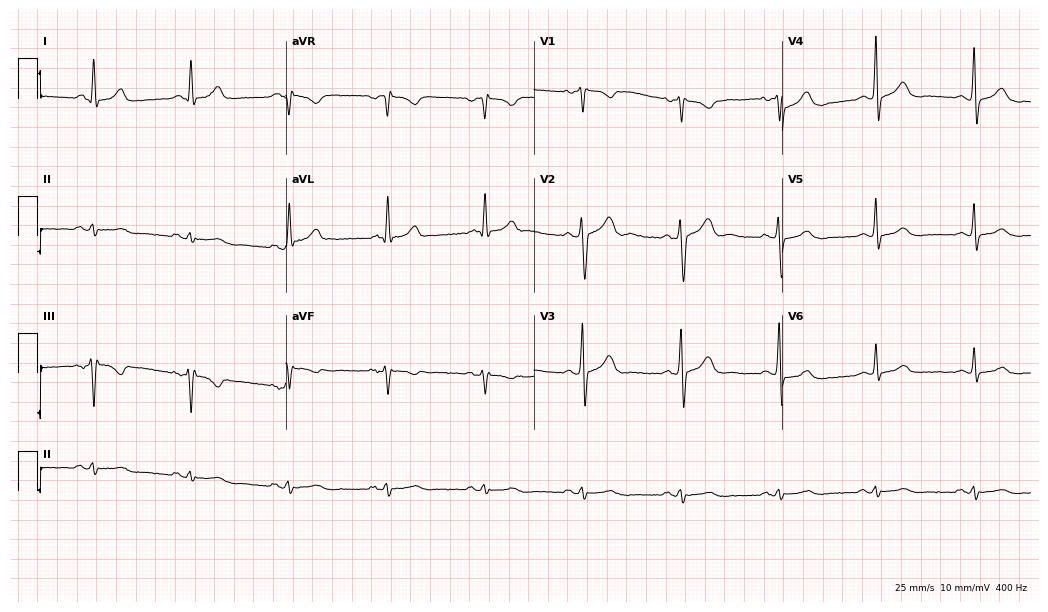
Standard 12-lead ECG recorded from a 73-year-old man. Read as a normal ECG.